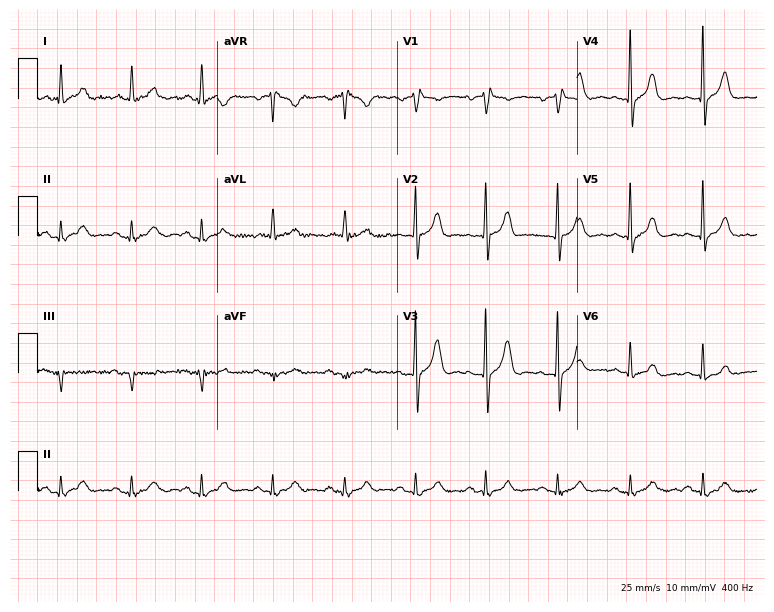
Resting 12-lead electrocardiogram. Patient: a 75-year-old man. Read as a normal ECG.